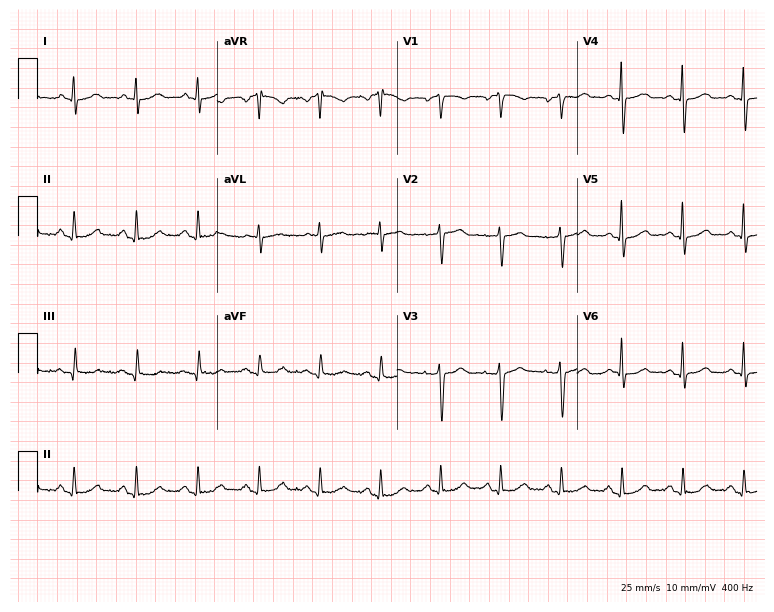
12-lead ECG from a 53-year-old woman (7.3-second recording at 400 Hz). Recorded interpretation: within normal limits.